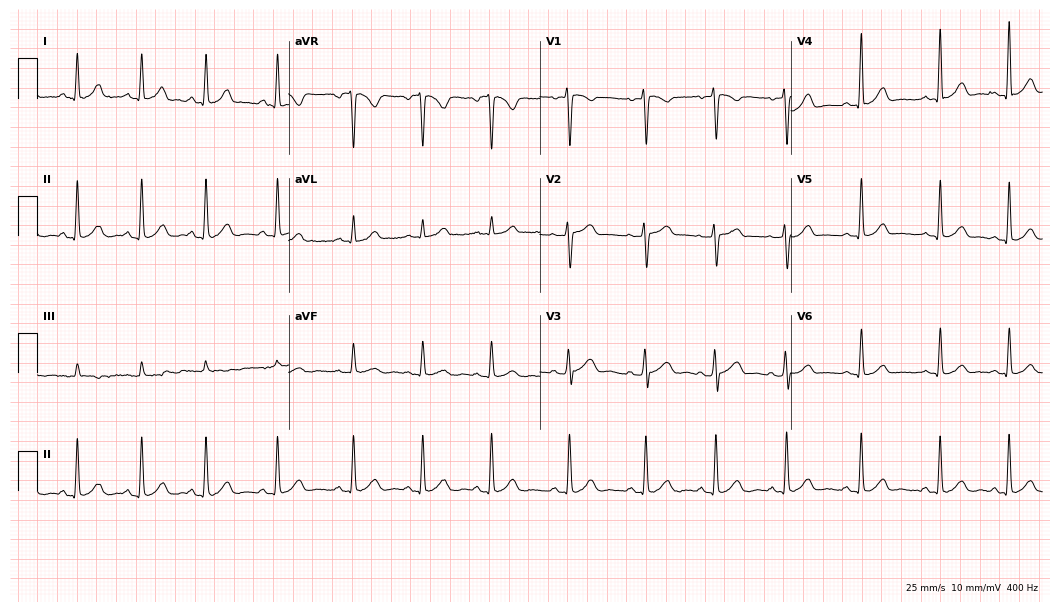
ECG (10.2-second recording at 400 Hz) — a 34-year-old female. Screened for six findings — first-degree AV block, right bundle branch block, left bundle branch block, sinus bradycardia, atrial fibrillation, sinus tachycardia — none is recorded. Other findings, if any, are not listed.